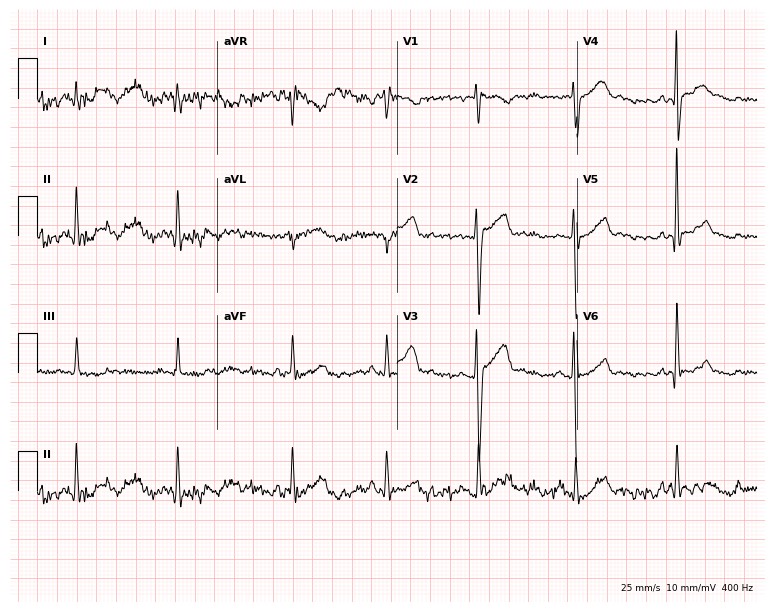
12-lead ECG (7.3-second recording at 400 Hz) from a male patient, 23 years old. Screened for six findings — first-degree AV block, right bundle branch block, left bundle branch block, sinus bradycardia, atrial fibrillation, sinus tachycardia — none is recorded. Only these six findings were labelled.